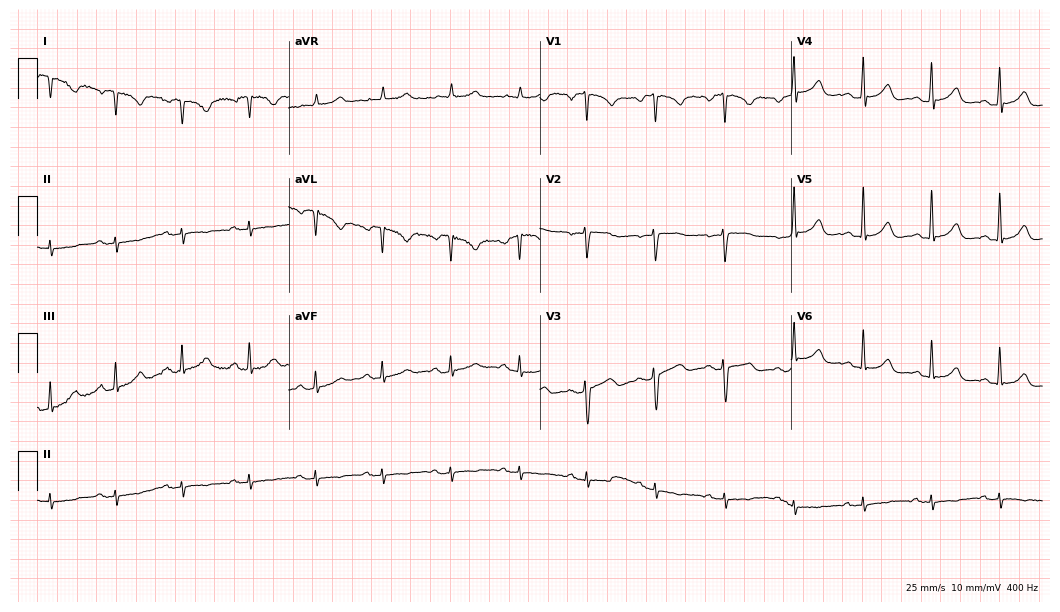
Electrocardiogram, a woman, 56 years old. Of the six screened findings (first-degree AV block, right bundle branch block, left bundle branch block, sinus bradycardia, atrial fibrillation, sinus tachycardia), none is recorded.